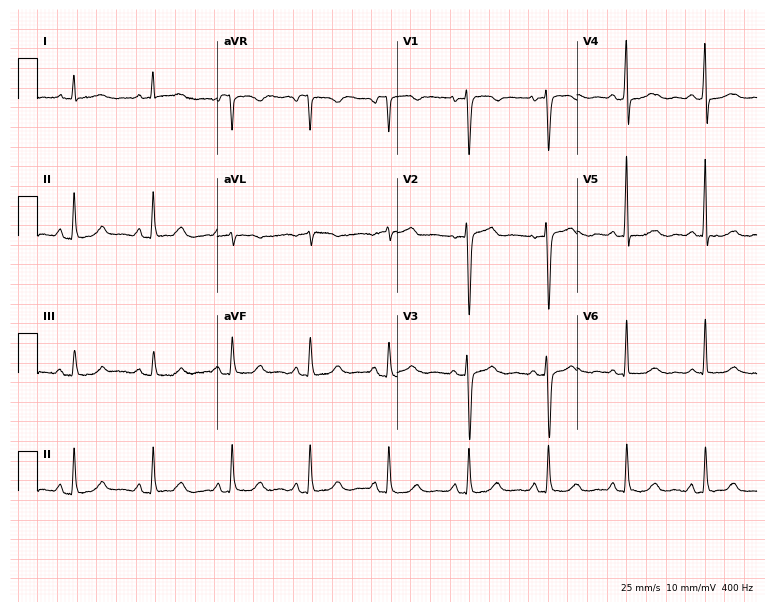
12-lead ECG from a woman, 66 years old (7.3-second recording at 400 Hz). No first-degree AV block, right bundle branch block, left bundle branch block, sinus bradycardia, atrial fibrillation or sinus tachycardia recorded for this tracing. Findings outside these six are not listed.